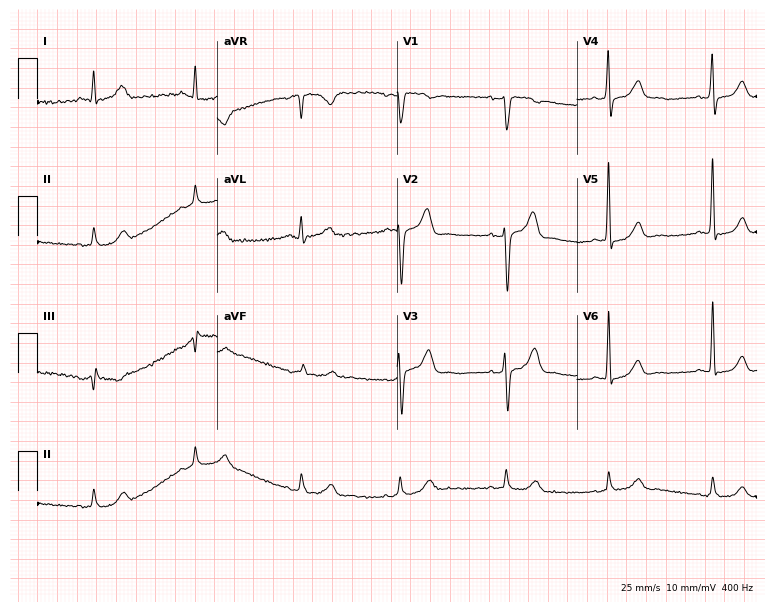
Resting 12-lead electrocardiogram. Patient: a 50-year-old male. None of these six findings is recorded: first-degree AV block, right bundle branch block (RBBB), left bundle branch block (LBBB), sinus bradycardia, atrial fibrillation (AF), sinus tachycardia. Other findings, if any, are not listed.